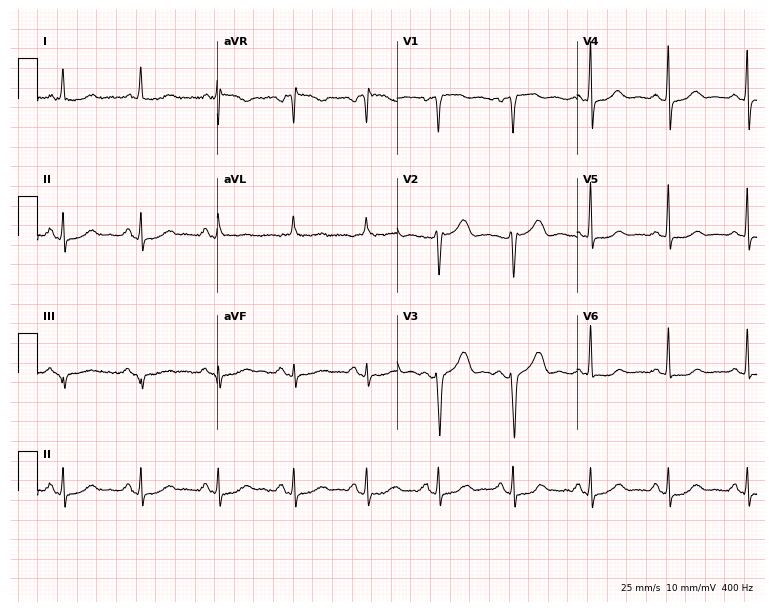
ECG (7.3-second recording at 400 Hz) — a 54-year-old woman. Labelled as a normal ECG.